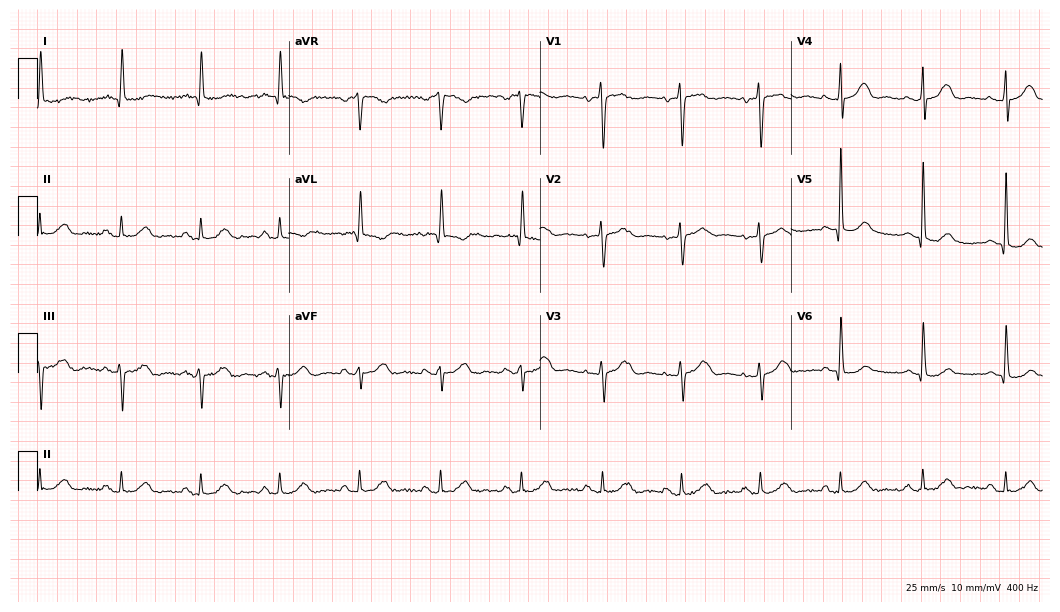
Resting 12-lead electrocardiogram. Patient: a 79-year-old woman. None of these six findings is recorded: first-degree AV block, right bundle branch block, left bundle branch block, sinus bradycardia, atrial fibrillation, sinus tachycardia. Only these six findings were labelled.